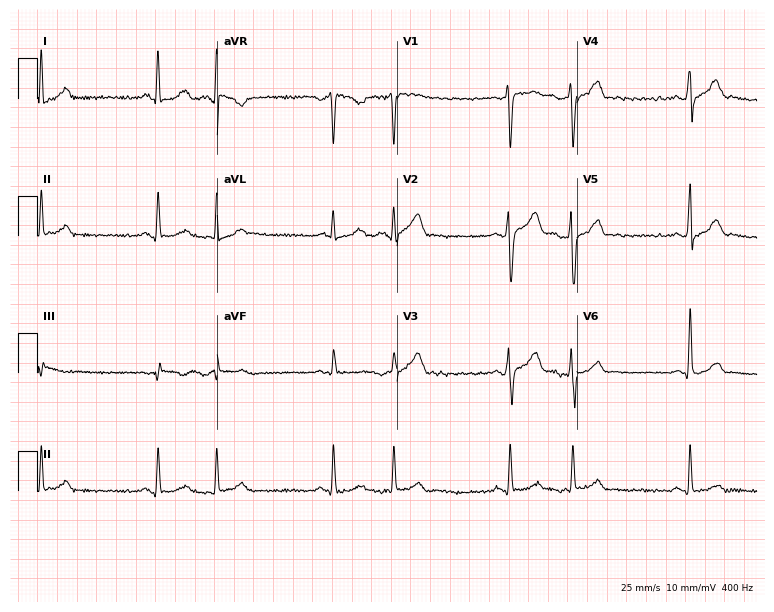
Resting 12-lead electrocardiogram (7.3-second recording at 400 Hz). Patient: a 36-year-old male. The tracing shows atrial fibrillation.